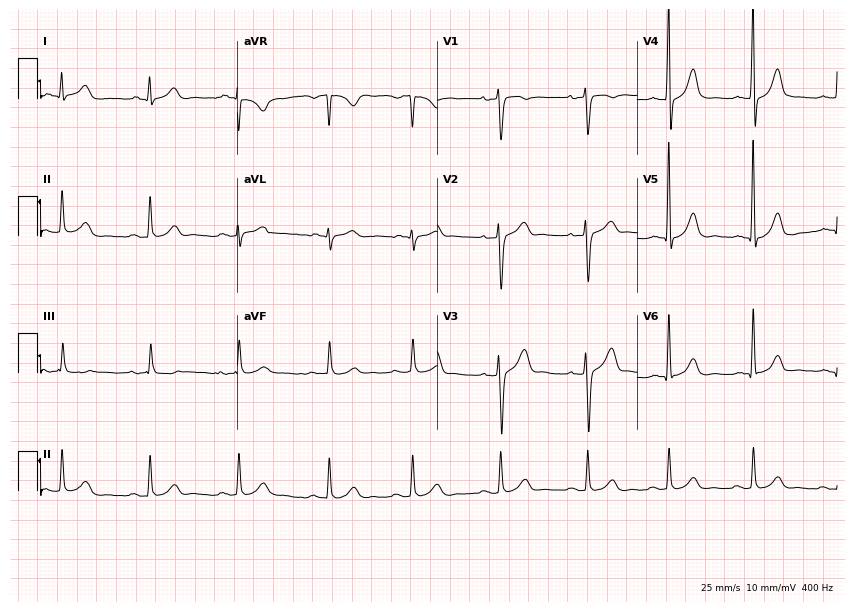
Resting 12-lead electrocardiogram (8.2-second recording at 400 Hz). Patient: a male, 19 years old. None of these six findings is recorded: first-degree AV block, right bundle branch block (RBBB), left bundle branch block (LBBB), sinus bradycardia, atrial fibrillation (AF), sinus tachycardia. Only these six findings were labelled.